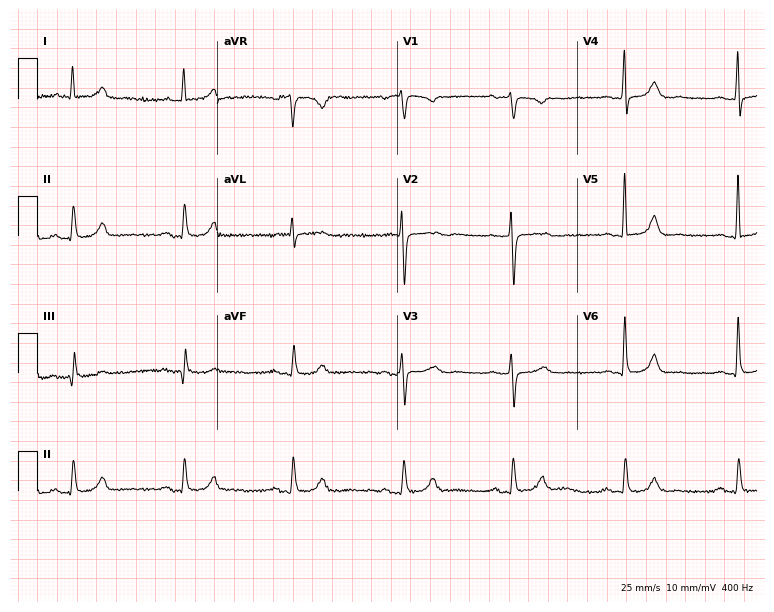
12-lead ECG from a female, 79 years old. Labelled as a normal ECG.